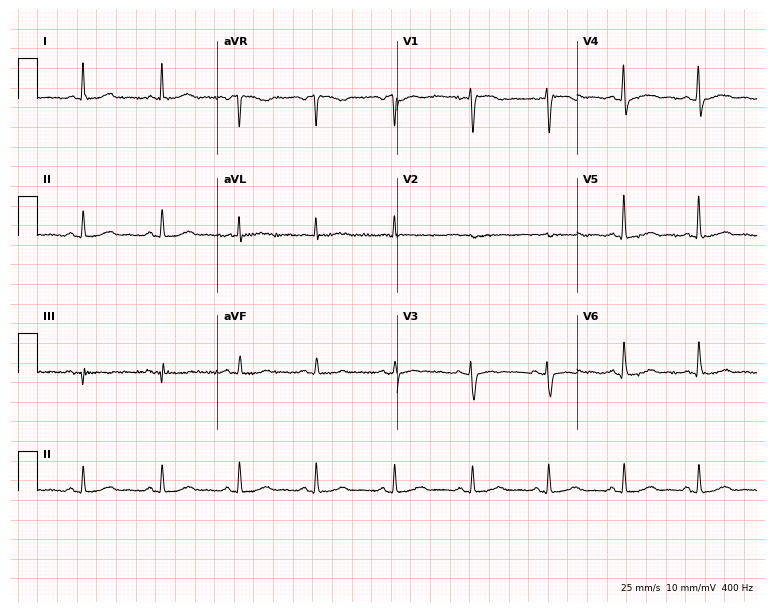
Resting 12-lead electrocardiogram. Patient: a female, 46 years old. None of these six findings is recorded: first-degree AV block, right bundle branch block, left bundle branch block, sinus bradycardia, atrial fibrillation, sinus tachycardia. Only these six findings were labelled.